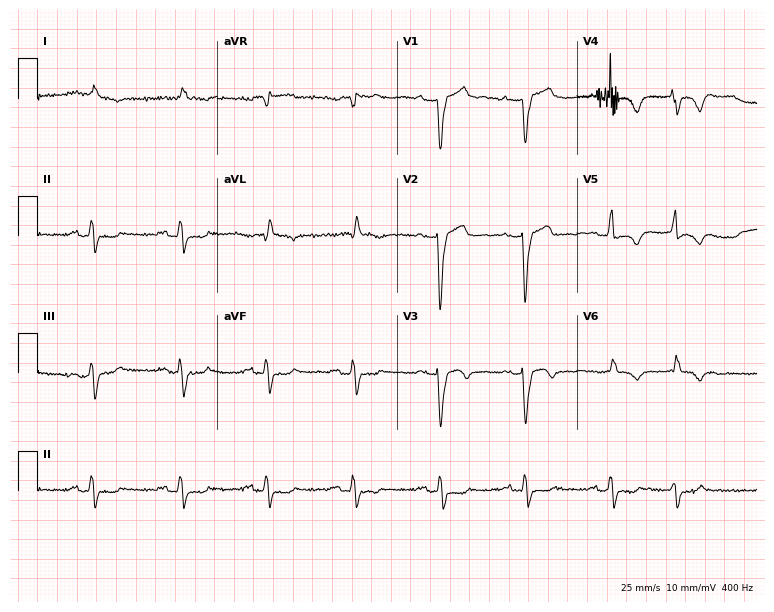
ECG — an 84-year-old male. Screened for six findings — first-degree AV block, right bundle branch block (RBBB), left bundle branch block (LBBB), sinus bradycardia, atrial fibrillation (AF), sinus tachycardia — none is recorded.